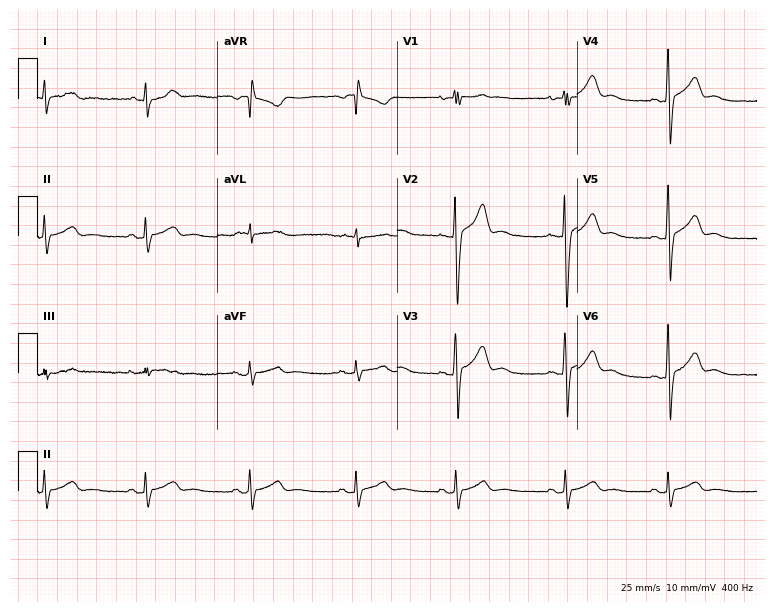
ECG — a 29-year-old male. Labelled as a normal ECG.